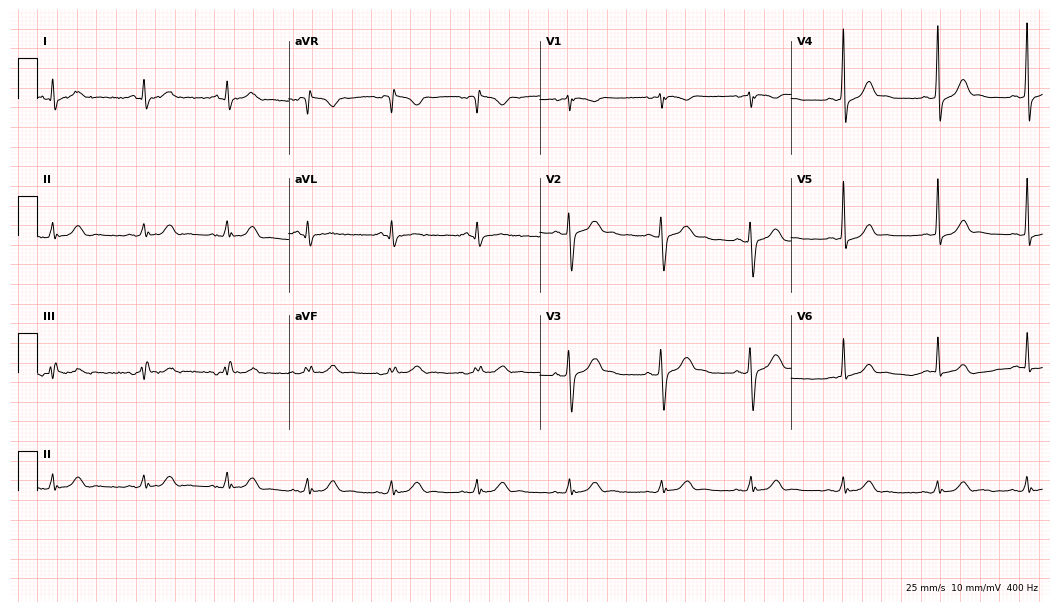
Electrocardiogram, a male patient, 34 years old. Of the six screened findings (first-degree AV block, right bundle branch block, left bundle branch block, sinus bradycardia, atrial fibrillation, sinus tachycardia), none is recorded. Other findings, if any, are not listed.